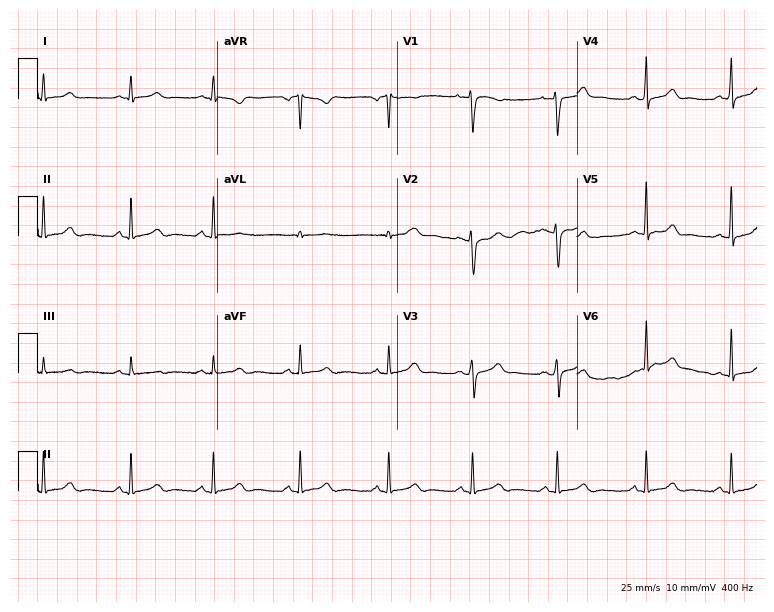
Electrocardiogram, a woman, 32 years old. Overall reading on record: normal ECG.